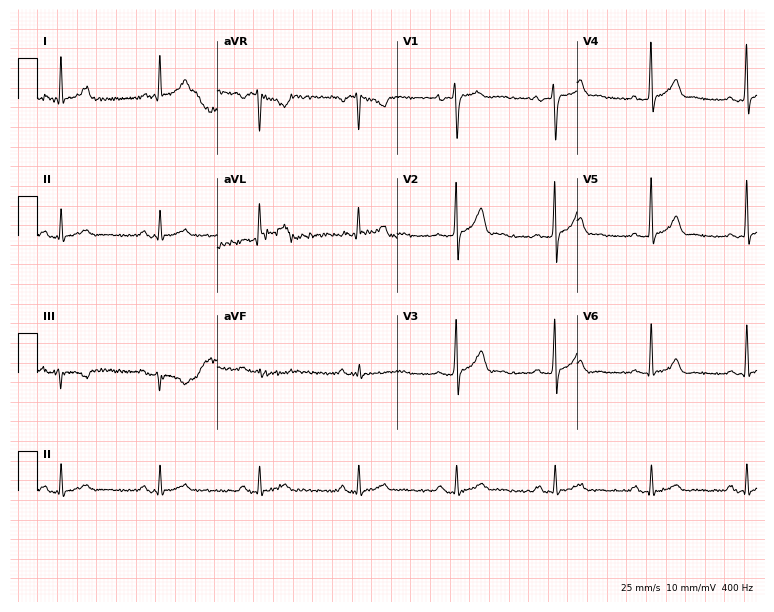
Standard 12-lead ECG recorded from a male, 36 years old. Read as a normal ECG.